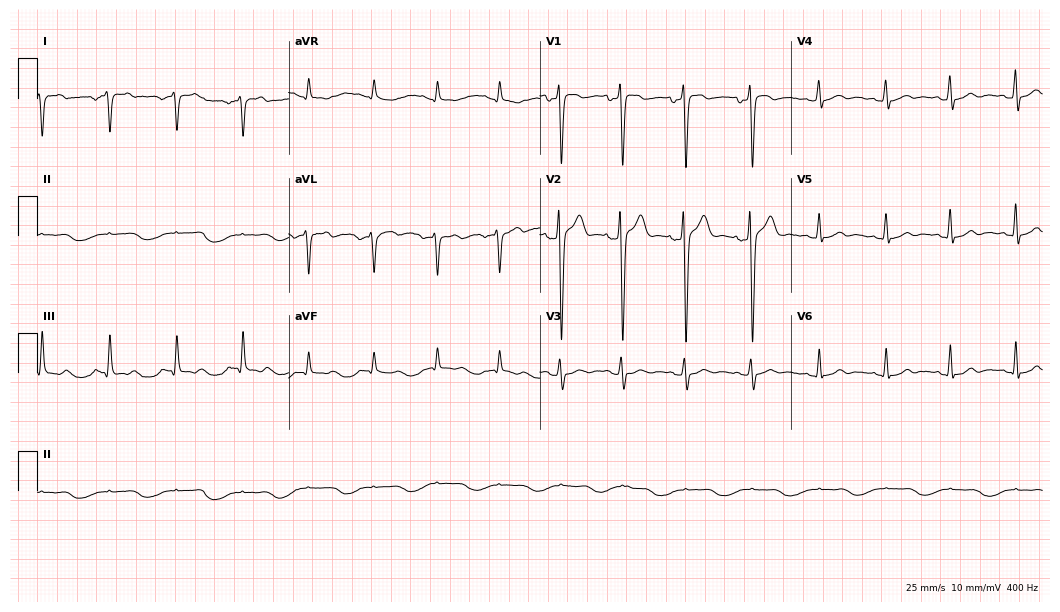
ECG — a 38-year-old man. Screened for six findings — first-degree AV block, right bundle branch block (RBBB), left bundle branch block (LBBB), sinus bradycardia, atrial fibrillation (AF), sinus tachycardia — none is recorded.